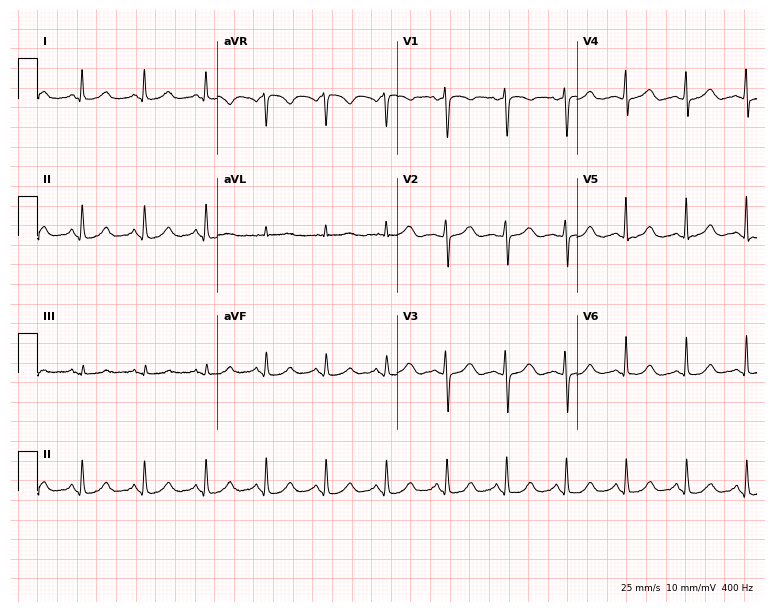
Resting 12-lead electrocardiogram. Patient: a female, 55 years old. Read as a normal ECG.